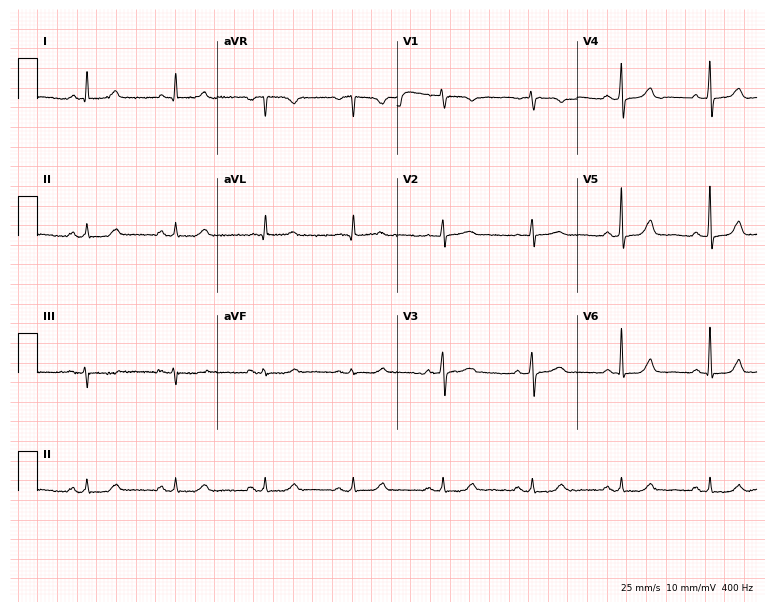
Resting 12-lead electrocardiogram (7.3-second recording at 400 Hz). Patient: a 78-year-old woman. Read as a normal ECG.